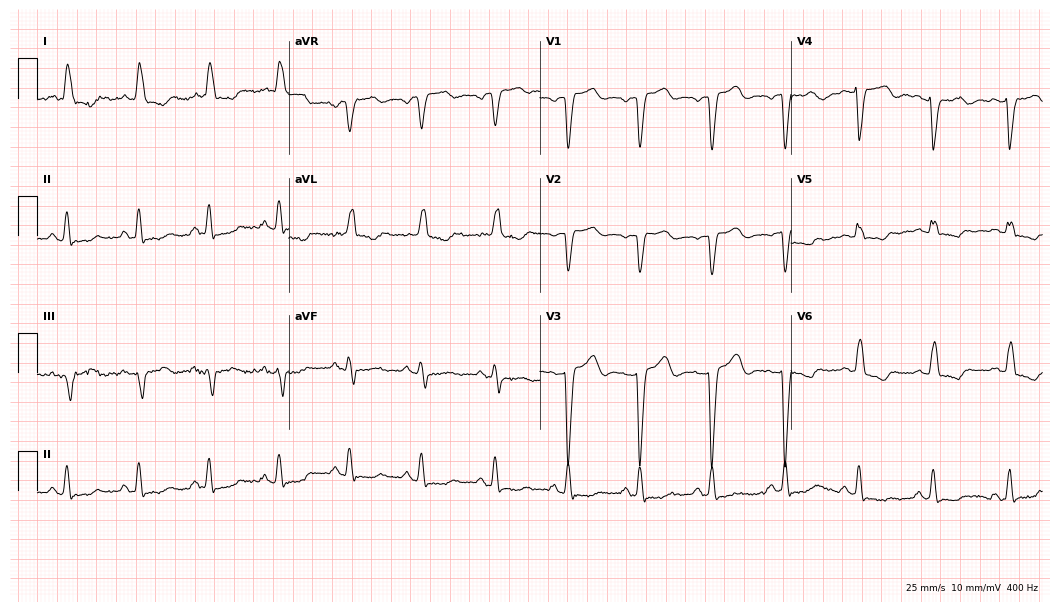
12-lead ECG from a 47-year-old female. Screened for six findings — first-degree AV block, right bundle branch block (RBBB), left bundle branch block (LBBB), sinus bradycardia, atrial fibrillation (AF), sinus tachycardia — none is recorded. Findings outside these six are not listed.